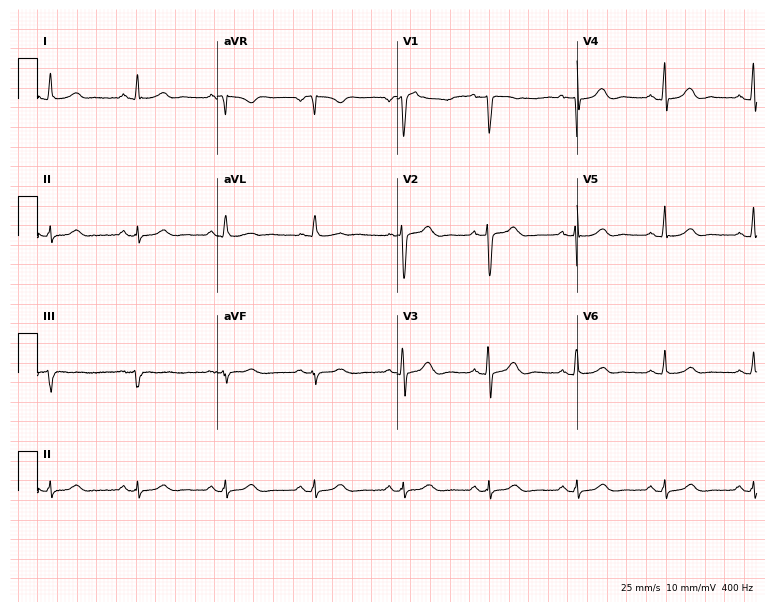
Electrocardiogram (7.3-second recording at 400 Hz), a 69-year-old female patient. Overall reading on record: normal ECG.